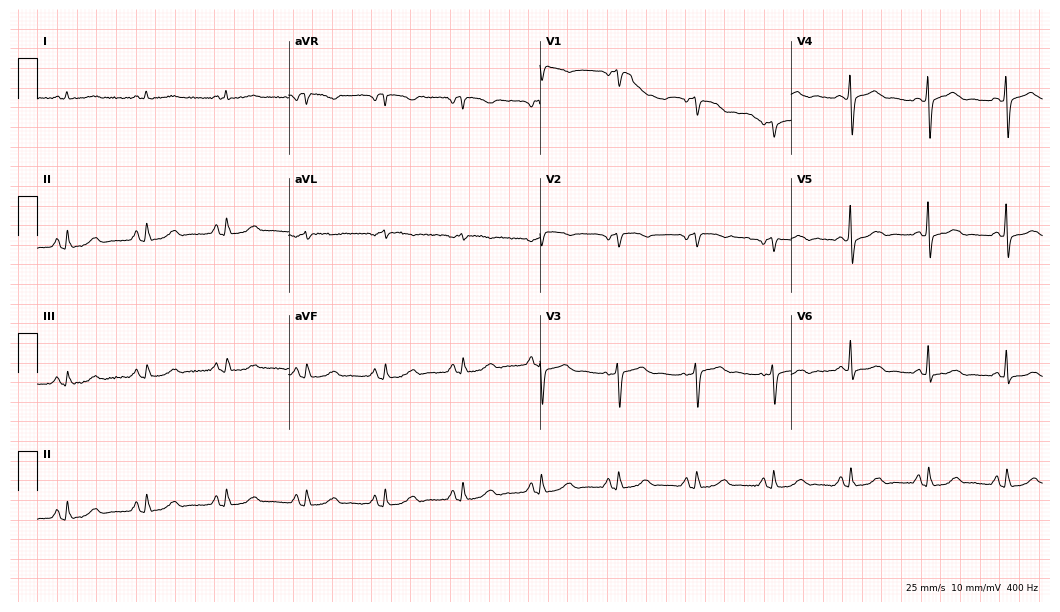
ECG (10.2-second recording at 400 Hz) — a woman, 64 years old. Screened for six findings — first-degree AV block, right bundle branch block, left bundle branch block, sinus bradycardia, atrial fibrillation, sinus tachycardia — none is recorded.